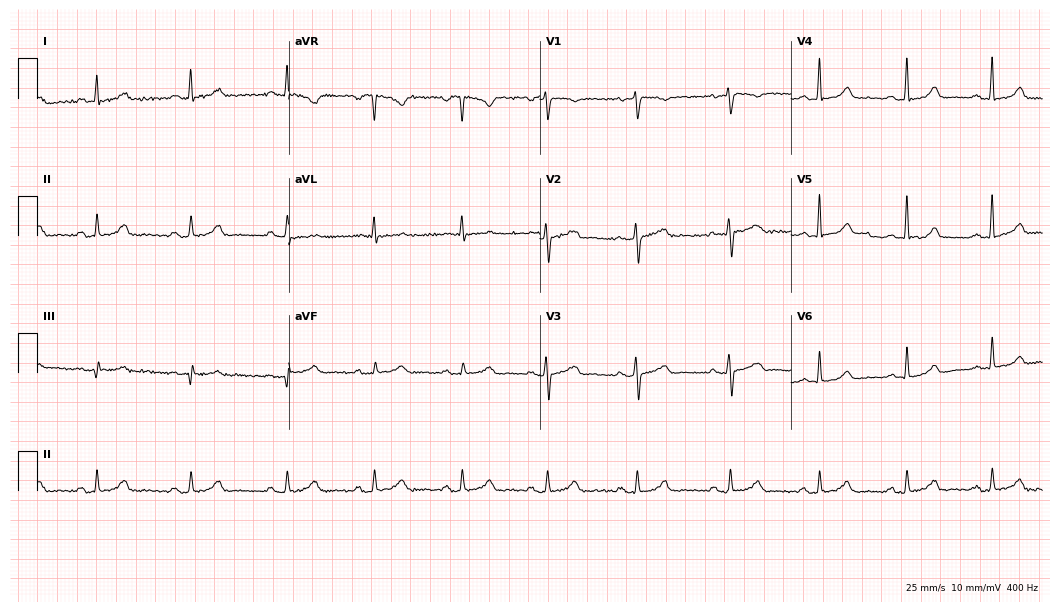
ECG (10.2-second recording at 400 Hz) — a 51-year-old female patient. Labelled as a normal ECG.